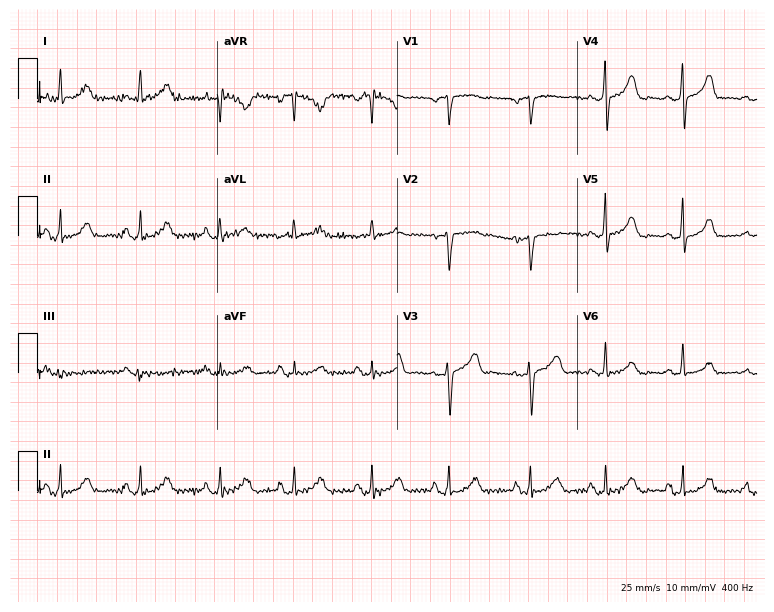
Electrocardiogram (7.3-second recording at 400 Hz), a female, 50 years old. Overall reading on record: normal ECG.